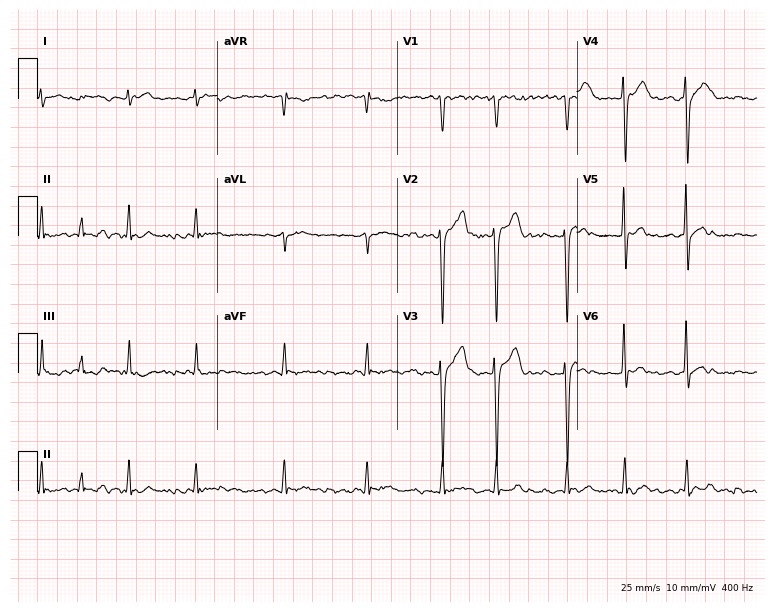
12-lead ECG (7.3-second recording at 400 Hz) from a male patient, 49 years old. Findings include atrial fibrillation.